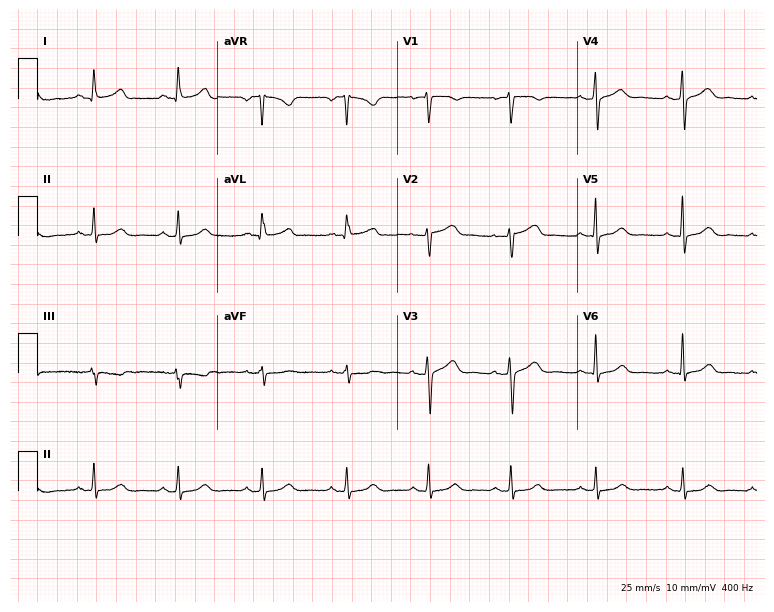
Electrocardiogram (7.3-second recording at 400 Hz), a female, 44 years old. Overall reading on record: normal ECG.